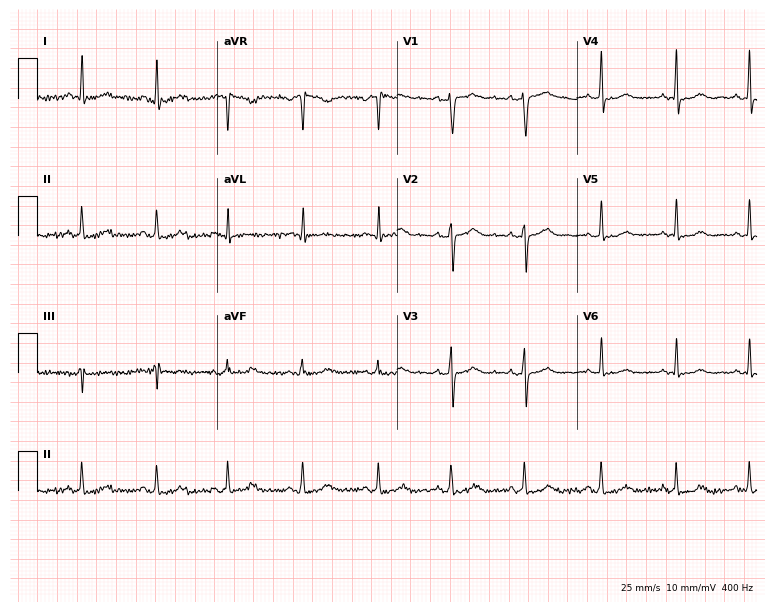
12-lead ECG from a female, 23 years old. Recorded interpretation: within normal limits.